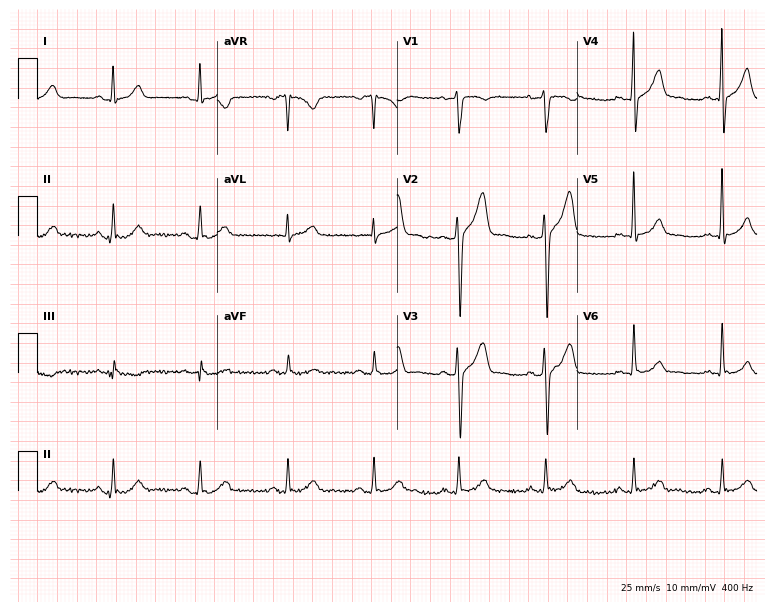
Electrocardiogram (7.3-second recording at 400 Hz), a male, 45 years old. Of the six screened findings (first-degree AV block, right bundle branch block (RBBB), left bundle branch block (LBBB), sinus bradycardia, atrial fibrillation (AF), sinus tachycardia), none is recorded. Only these six findings were labelled.